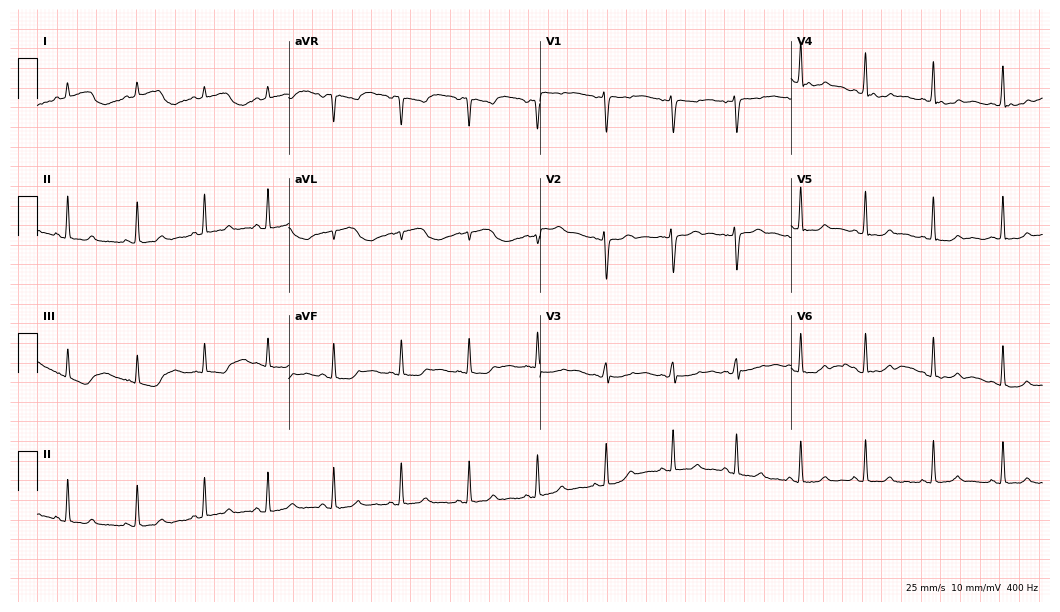
Electrocardiogram (10.2-second recording at 400 Hz), a 33-year-old female patient. Overall reading on record: normal ECG.